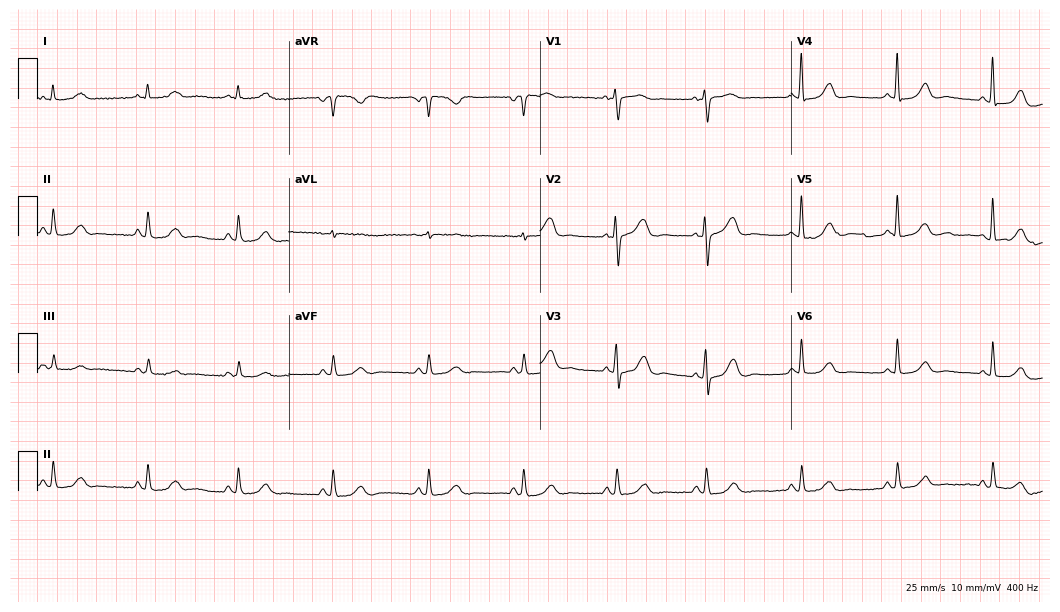
12-lead ECG (10.2-second recording at 400 Hz) from a female, 79 years old. Labelled as a normal ECG.